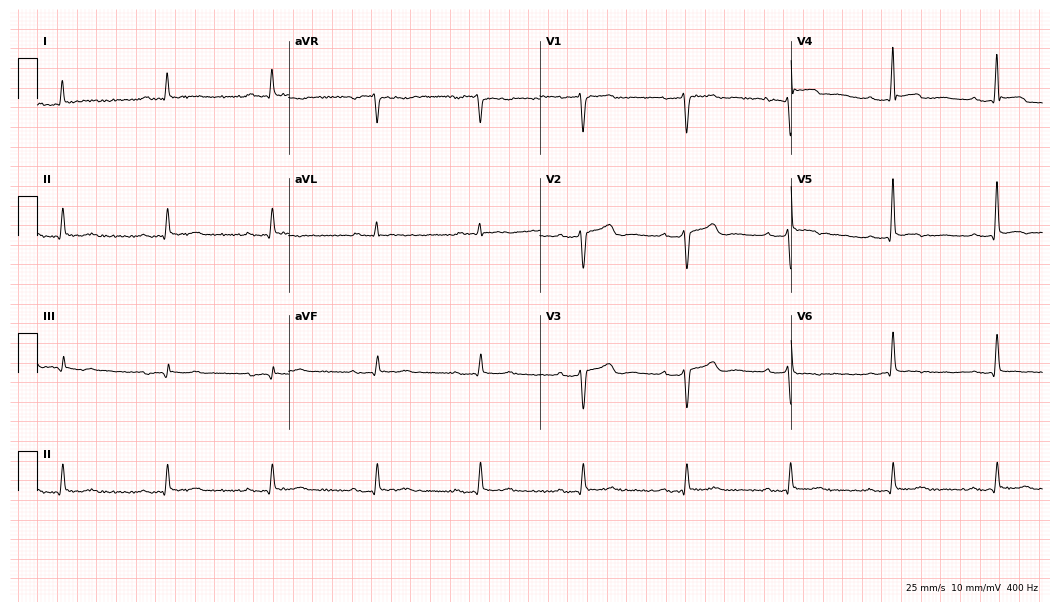
Standard 12-lead ECG recorded from a 68-year-old man. None of these six findings is recorded: first-degree AV block, right bundle branch block, left bundle branch block, sinus bradycardia, atrial fibrillation, sinus tachycardia. Other findings, if any, are not listed.